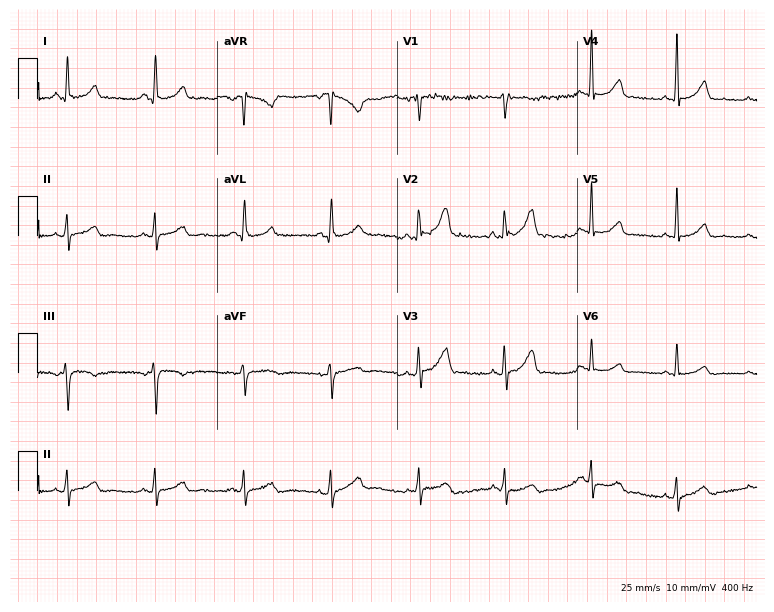
Standard 12-lead ECG recorded from a 50-year-old man (7.3-second recording at 400 Hz). Read as a normal ECG.